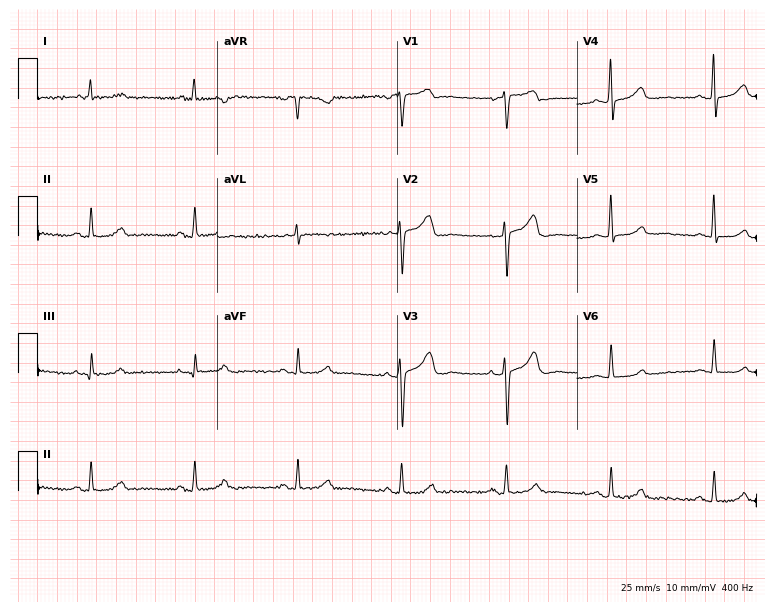
Resting 12-lead electrocardiogram. Patient: a female, 61 years old. None of these six findings is recorded: first-degree AV block, right bundle branch block (RBBB), left bundle branch block (LBBB), sinus bradycardia, atrial fibrillation (AF), sinus tachycardia. Only these six findings were labelled.